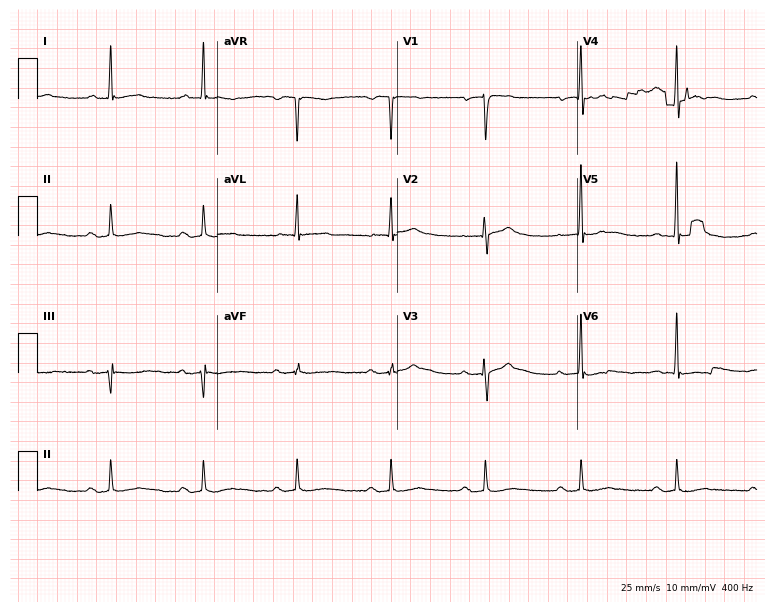
12-lead ECG from a man, 70 years old (7.3-second recording at 400 Hz). Shows first-degree AV block.